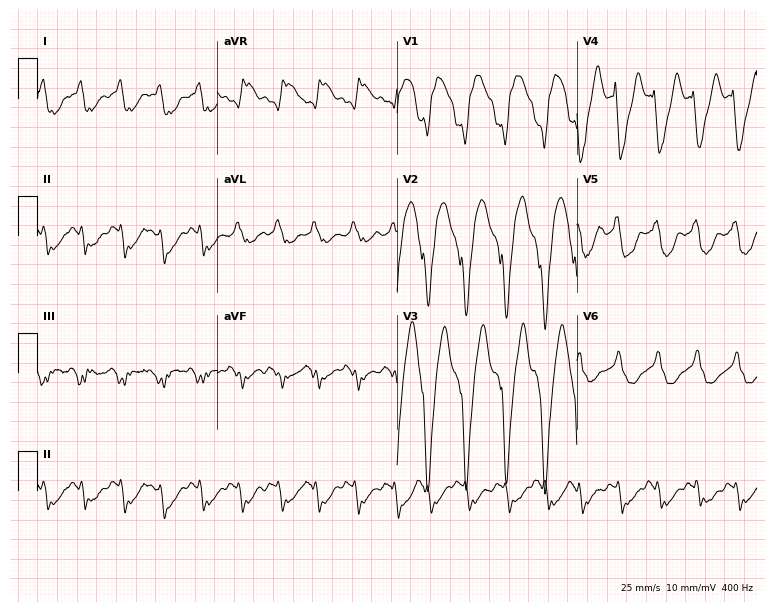
Resting 12-lead electrocardiogram. Patient: a 49-year-old woman. The tracing shows sinus tachycardia (a sinus rate of 100 beats per minute or more).